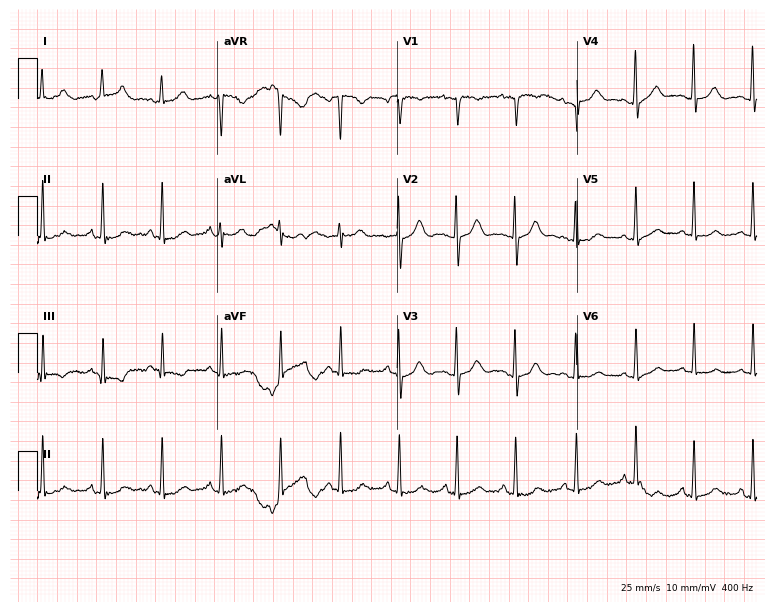
Electrocardiogram, a female patient, 21 years old. Overall reading on record: normal ECG.